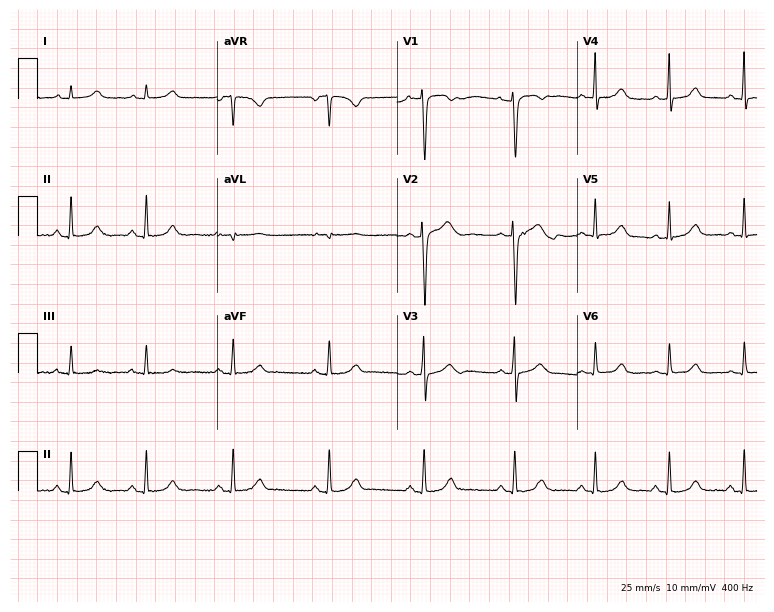
Resting 12-lead electrocardiogram. Patient: a 24-year-old female. None of these six findings is recorded: first-degree AV block, right bundle branch block, left bundle branch block, sinus bradycardia, atrial fibrillation, sinus tachycardia.